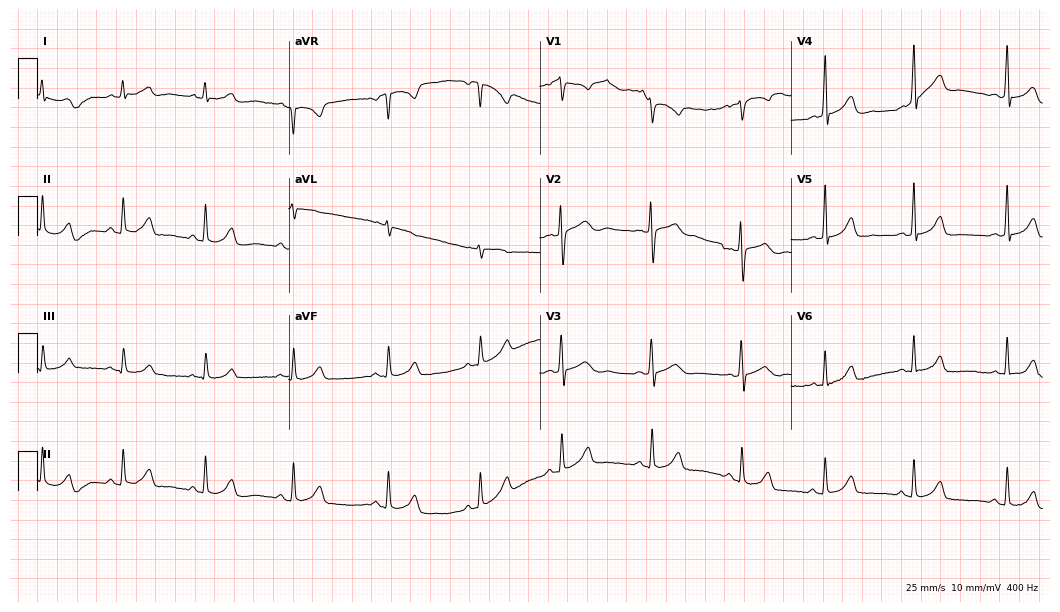
12-lead ECG from a female, 26 years old. Screened for six findings — first-degree AV block, right bundle branch block, left bundle branch block, sinus bradycardia, atrial fibrillation, sinus tachycardia — none is recorded.